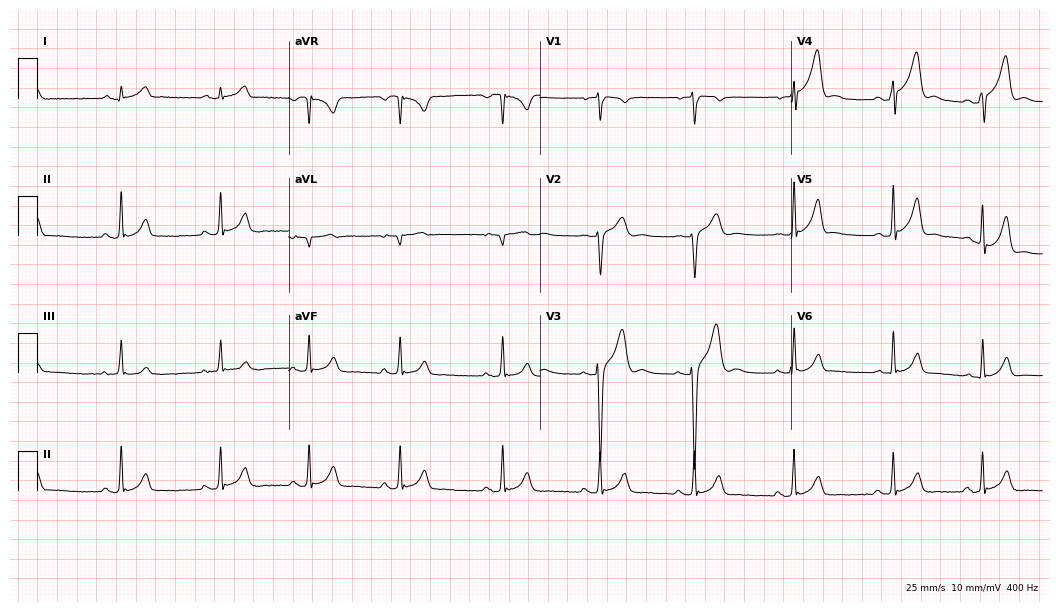
Resting 12-lead electrocardiogram. Patient: a 20-year-old man. Read as a normal ECG.